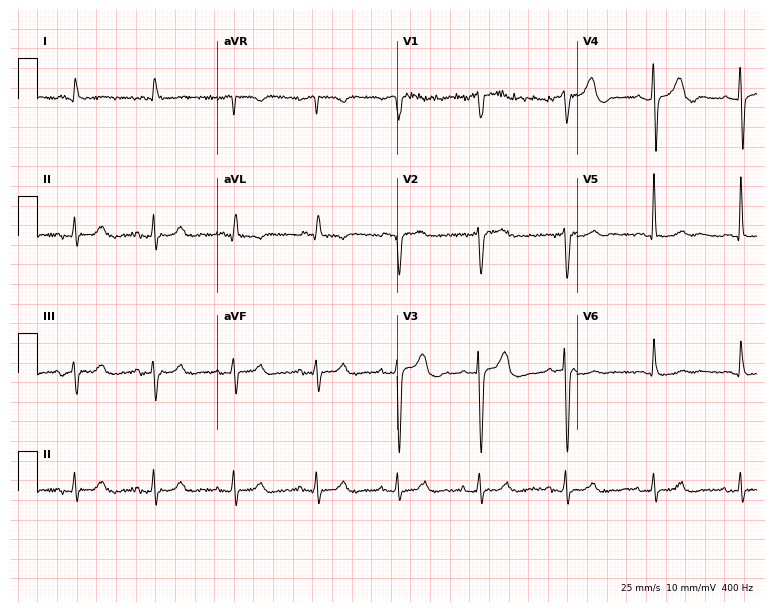
Electrocardiogram, a 70-year-old male patient. Overall reading on record: normal ECG.